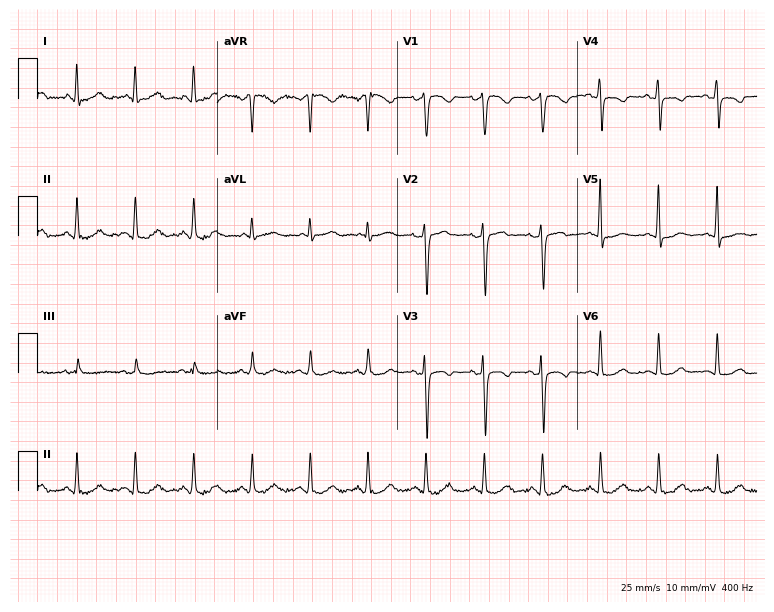
Resting 12-lead electrocardiogram. Patient: a 47-year-old woman. The tracing shows sinus tachycardia (a sinus rate of 100 beats per minute or more).